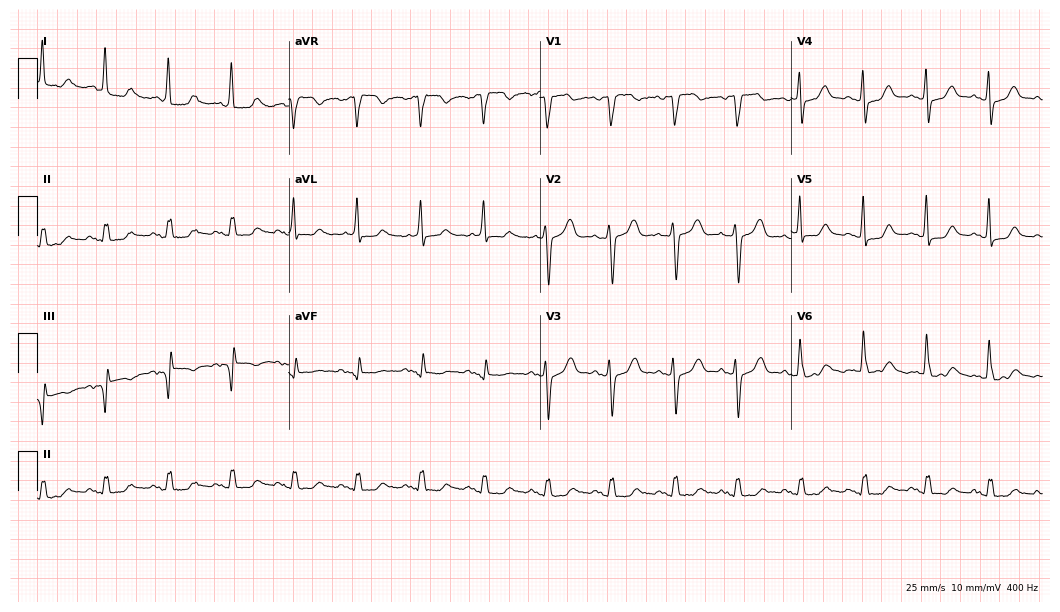
Electrocardiogram, an 84-year-old female patient. Of the six screened findings (first-degree AV block, right bundle branch block, left bundle branch block, sinus bradycardia, atrial fibrillation, sinus tachycardia), none is recorded.